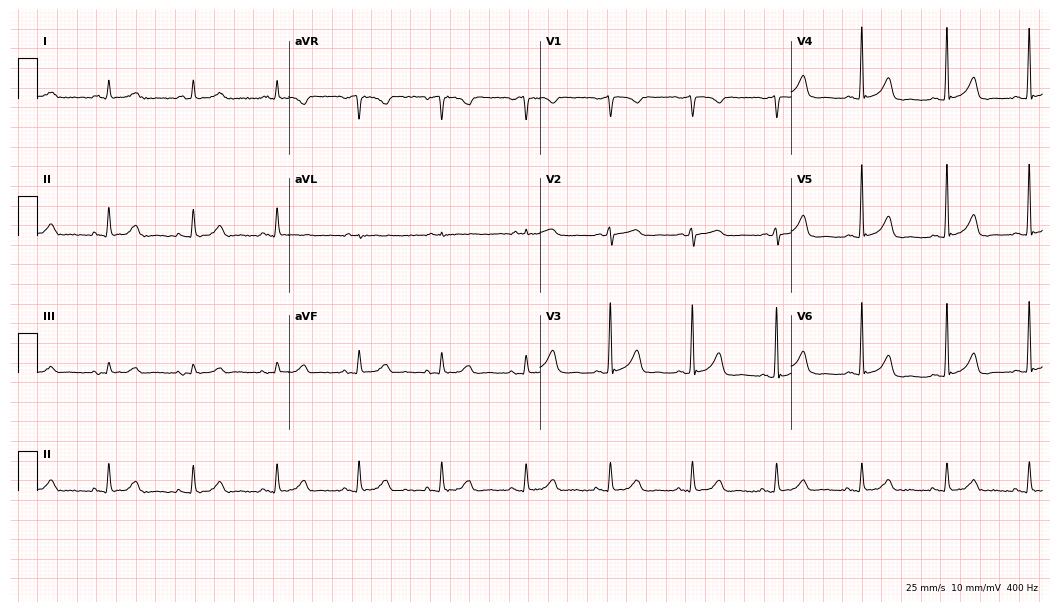
12-lead ECG from a woman, 76 years old (10.2-second recording at 400 Hz). Recorded interpretation: within normal limits.